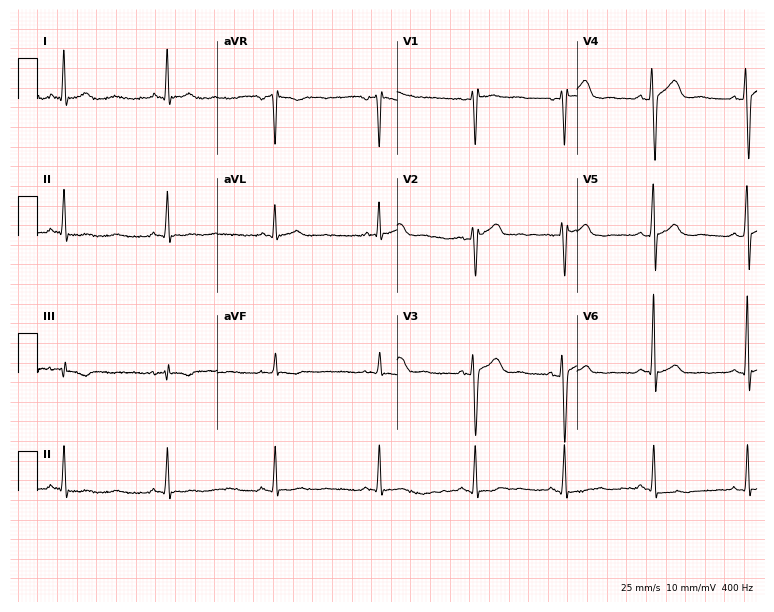
12-lead ECG from a 35-year-old male patient. No first-degree AV block, right bundle branch block (RBBB), left bundle branch block (LBBB), sinus bradycardia, atrial fibrillation (AF) or sinus tachycardia recorded for this tracing.